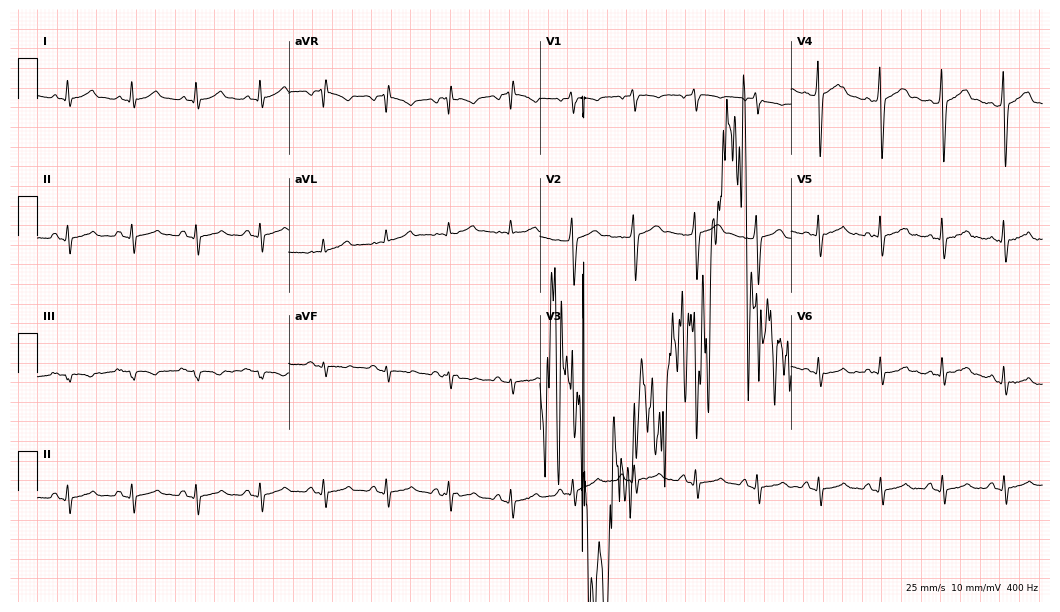
12-lead ECG (10.2-second recording at 400 Hz) from a 50-year-old male patient. Screened for six findings — first-degree AV block, right bundle branch block, left bundle branch block, sinus bradycardia, atrial fibrillation, sinus tachycardia — none is recorded. Findings outside these six are not listed.